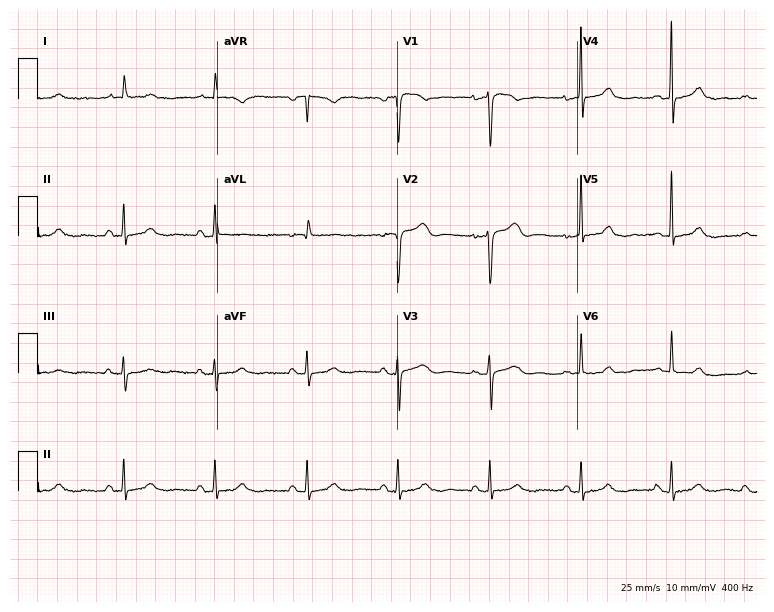
ECG (7.3-second recording at 400 Hz) — a female, 72 years old. Screened for six findings — first-degree AV block, right bundle branch block, left bundle branch block, sinus bradycardia, atrial fibrillation, sinus tachycardia — none is recorded.